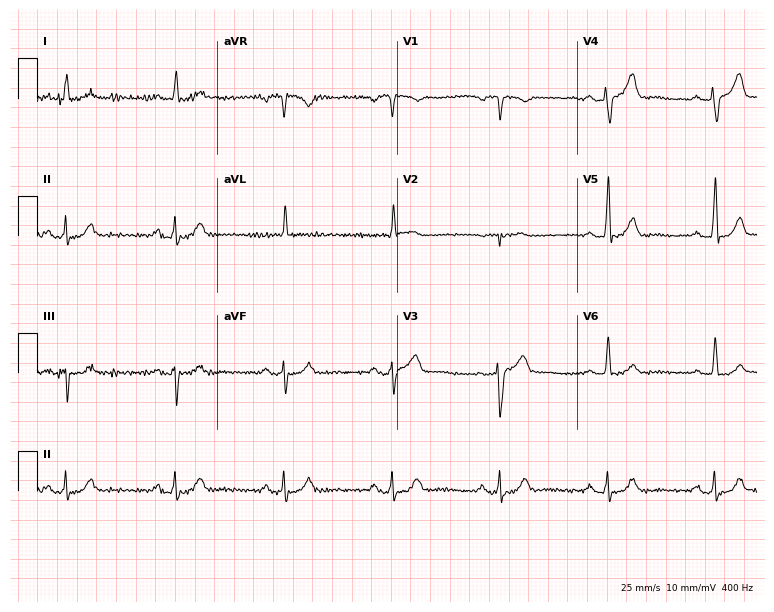
12-lead ECG from a man, 79 years old (7.3-second recording at 400 Hz). No first-degree AV block, right bundle branch block (RBBB), left bundle branch block (LBBB), sinus bradycardia, atrial fibrillation (AF) or sinus tachycardia recorded for this tracing. Only these six findings were labelled.